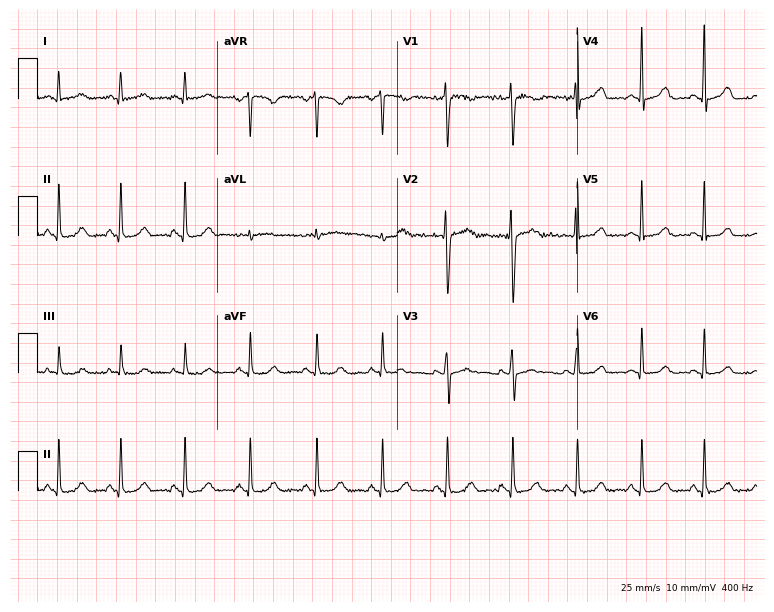
ECG (7.3-second recording at 400 Hz) — a 42-year-old woman. Screened for six findings — first-degree AV block, right bundle branch block, left bundle branch block, sinus bradycardia, atrial fibrillation, sinus tachycardia — none is recorded. Only these six findings were labelled.